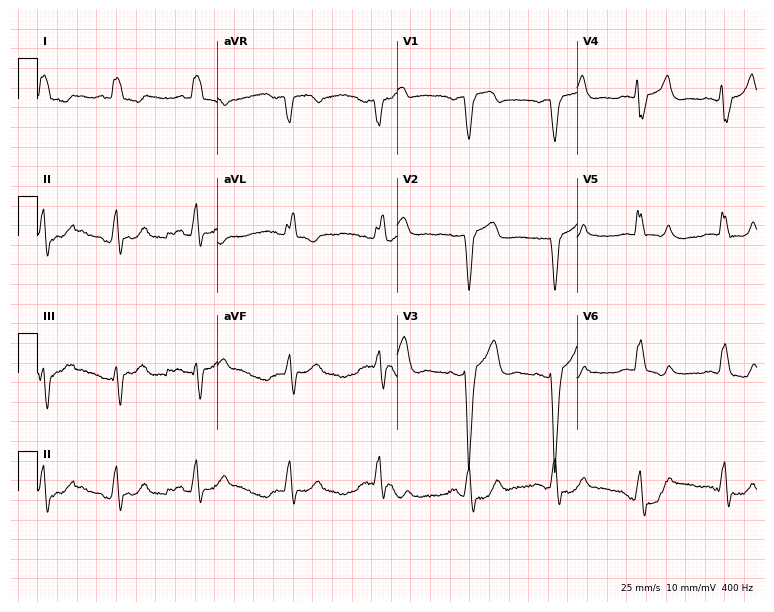
12-lead ECG from a female, 68 years old (7.3-second recording at 400 Hz). Shows right bundle branch block (RBBB).